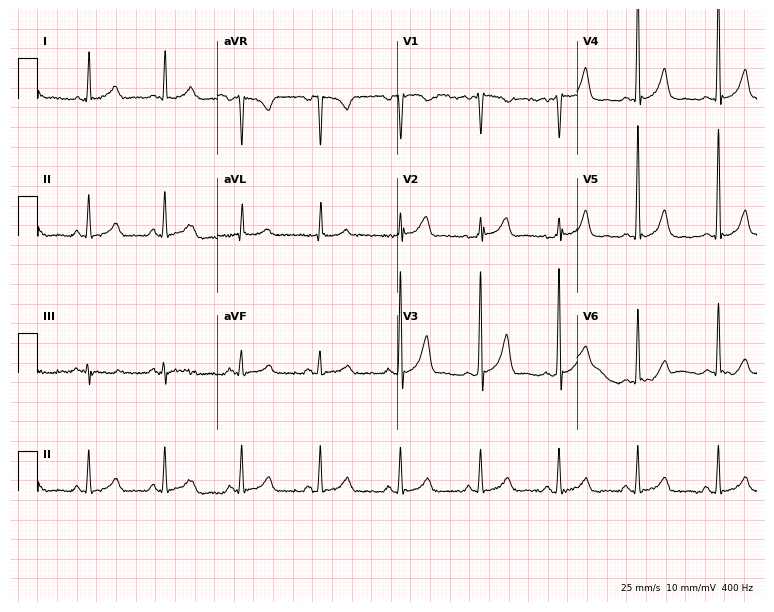
12-lead ECG from a 61-year-old male patient. Recorded interpretation: within normal limits.